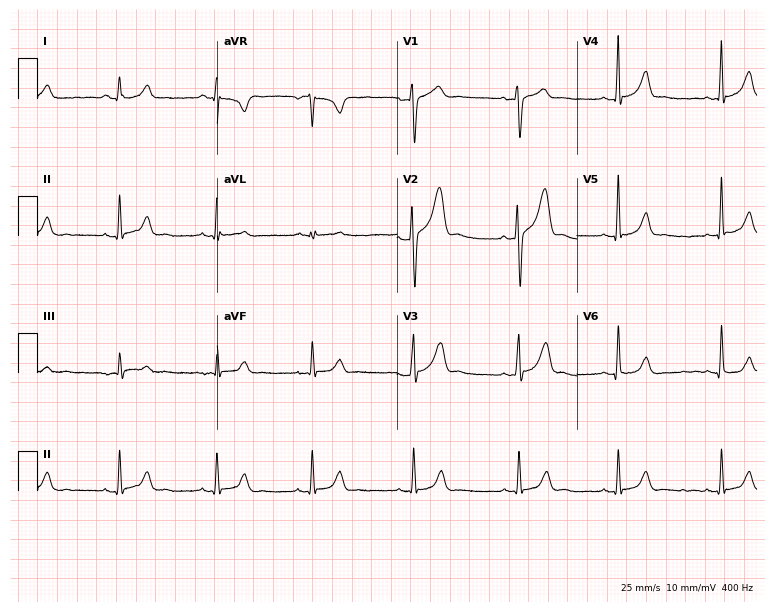
12-lead ECG (7.3-second recording at 400 Hz) from a 23-year-old male patient. Labelled as a normal ECG.